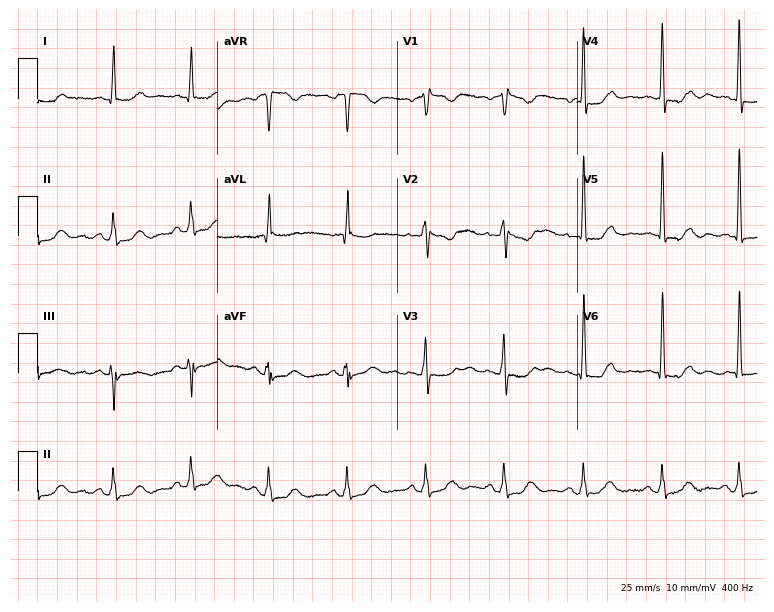
ECG (7.3-second recording at 400 Hz) — a female, 73 years old. Screened for six findings — first-degree AV block, right bundle branch block (RBBB), left bundle branch block (LBBB), sinus bradycardia, atrial fibrillation (AF), sinus tachycardia — none is recorded. Only these six findings were labelled.